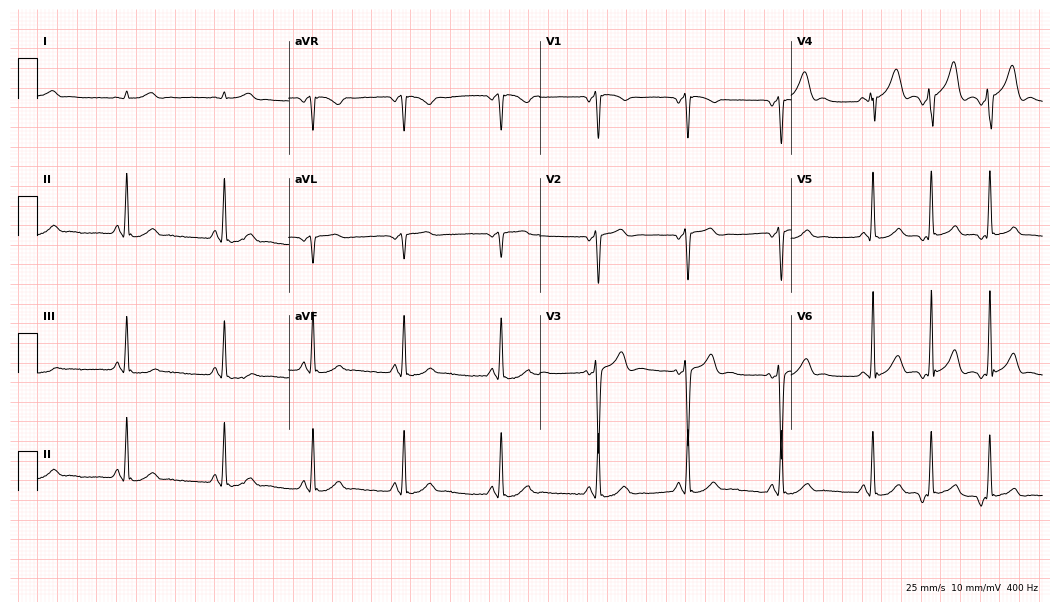
ECG — a 19-year-old man. Screened for six findings — first-degree AV block, right bundle branch block, left bundle branch block, sinus bradycardia, atrial fibrillation, sinus tachycardia — none is recorded.